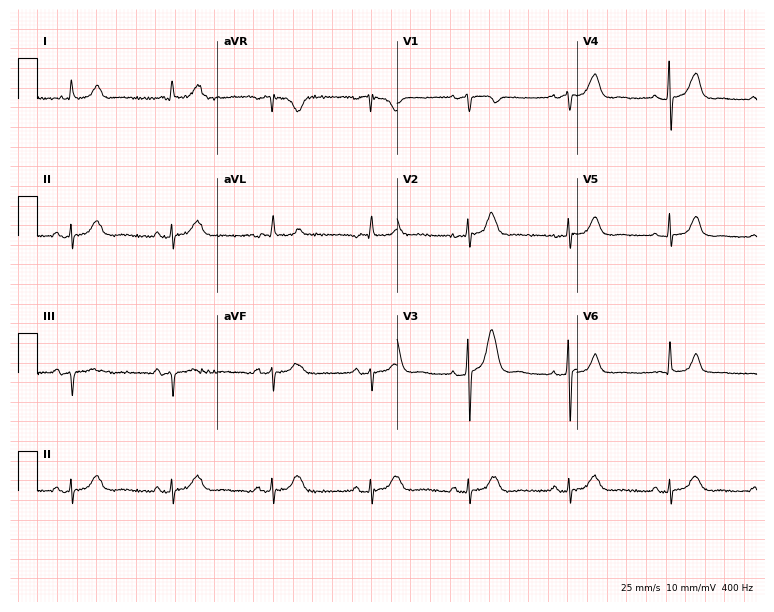
Electrocardiogram (7.3-second recording at 400 Hz), a female patient, 85 years old. Overall reading on record: normal ECG.